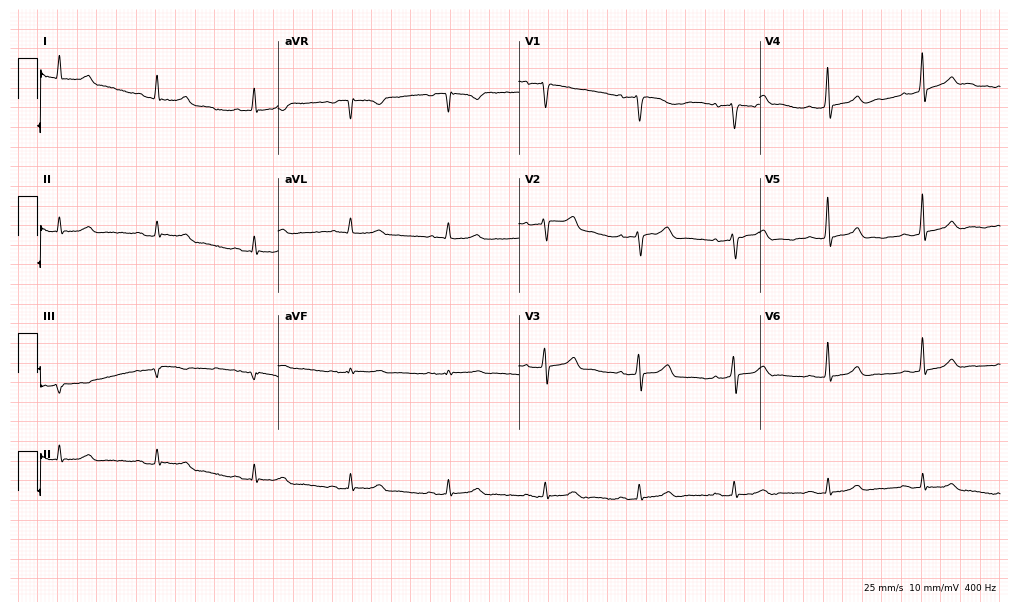
12-lead ECG from a 58-year-old female patient. Labelled as a normal ECG.